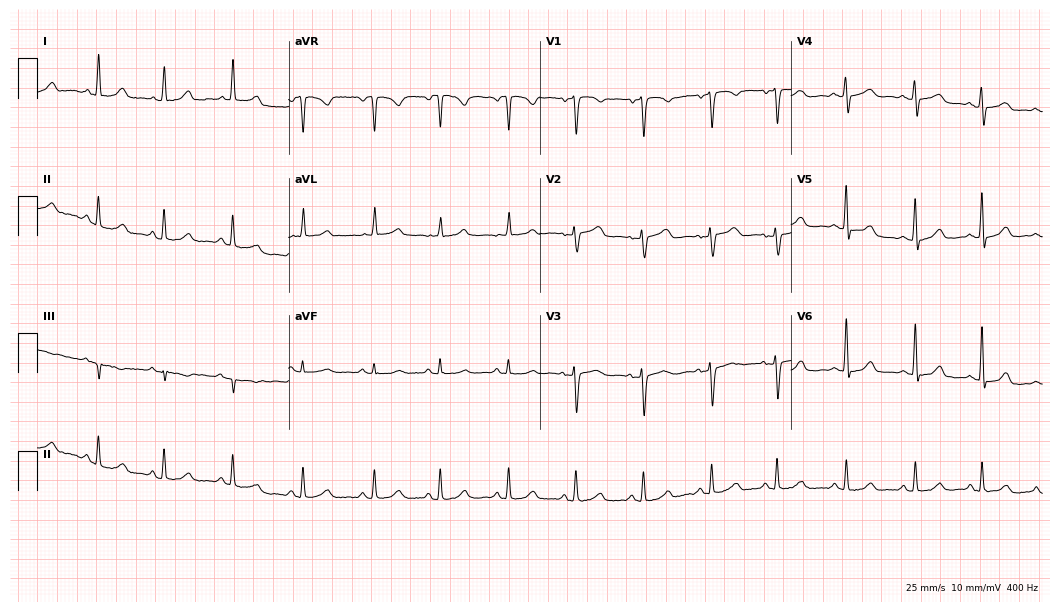
Resting 12-lead electrocardiogram (10.2-second recording at 400 Hz). Patient: a female, 53 years old. Read as a normal ECG.